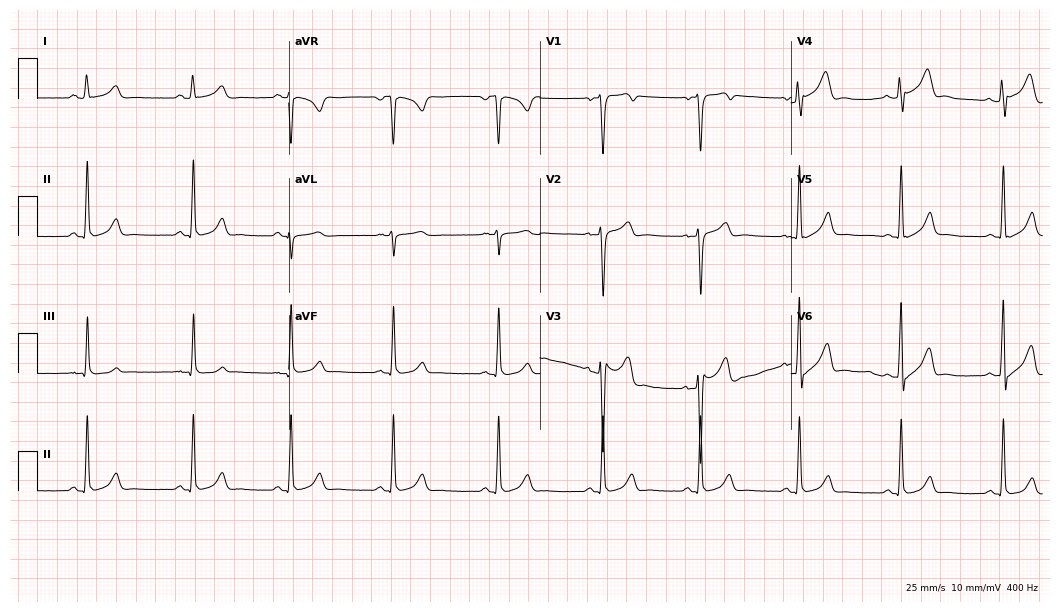
ECG (10.2-second recording at 400 Hz) — a 26-year-old male patient. Labelled as a normal ECG.